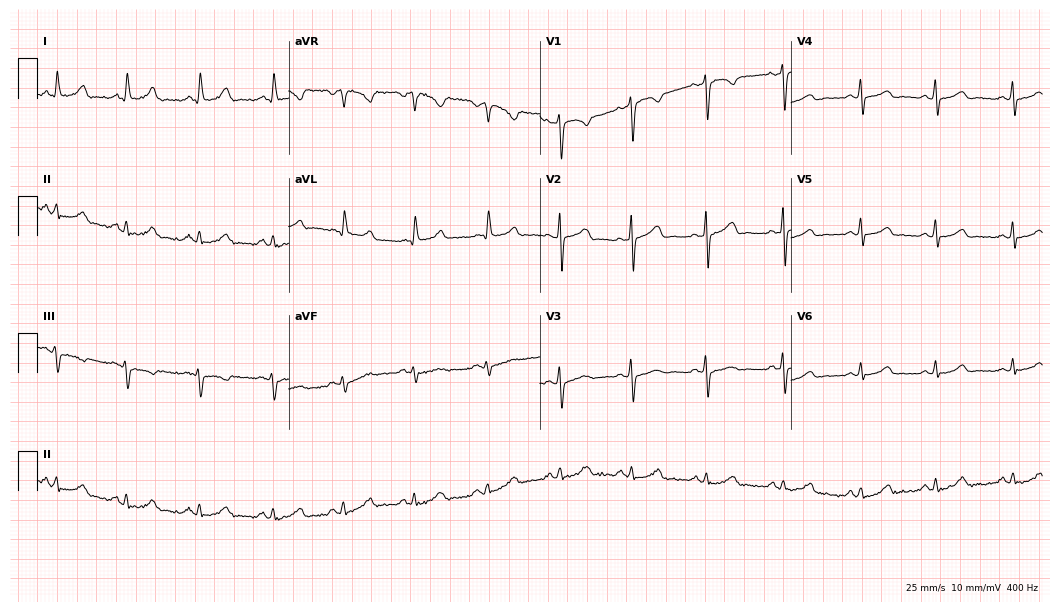
12-lead ECG (10.2-second recording at 400 Hz) from a female, 41 years old. Labelled as a normal ECG.